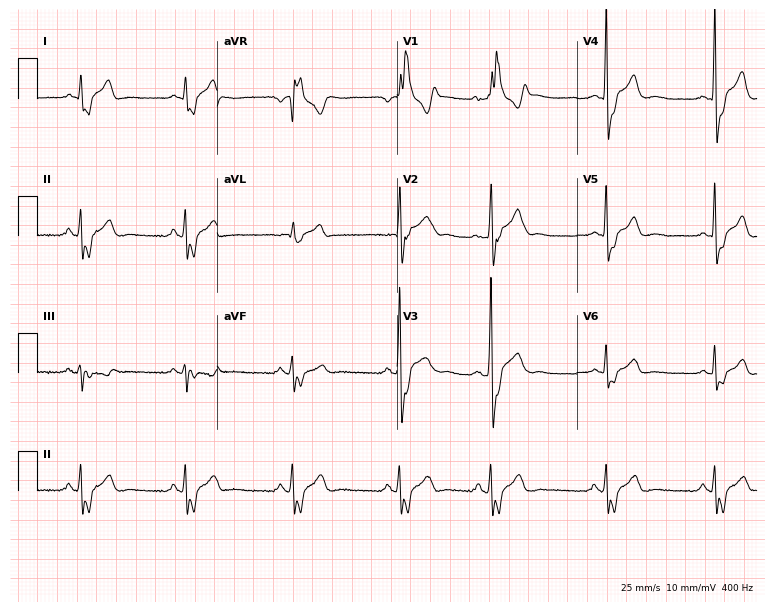
Electrocardiogram, a 59-year-old male patient. Interpretation includes right bundle branch block.